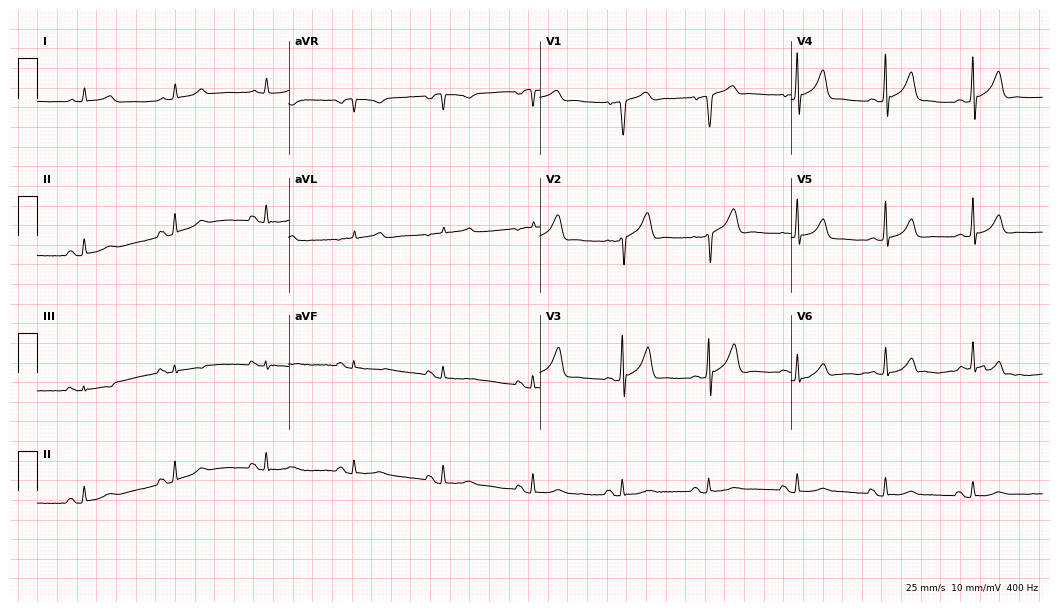
12-lead ECG from a male, 73 years old. Recorded interpretation: within normal limits.